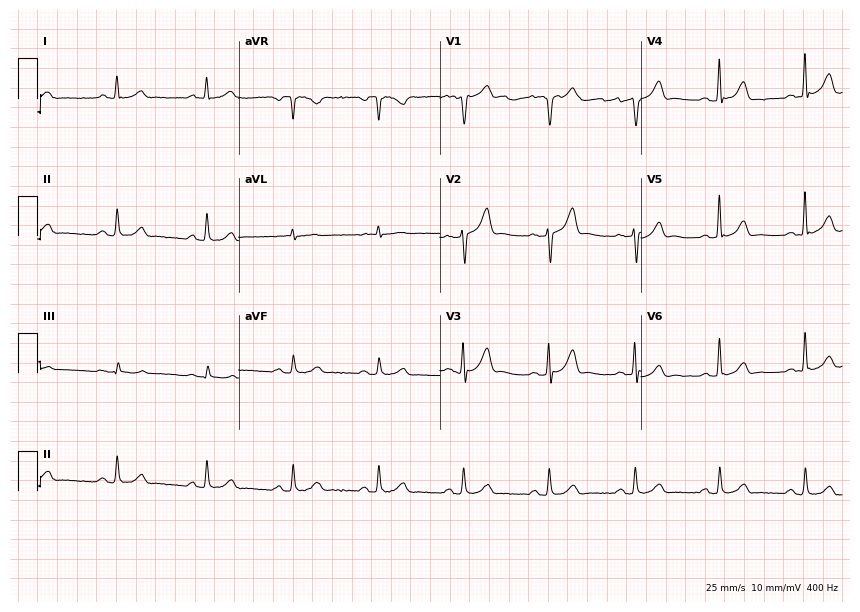
12-lead ECG (8.2-second recording at 400 Hz) from a 44-year-old male. Screened for six findings — first-degree AV block, right bundle branch block, left bundle branch block, sinus bradycardia, atrial fibrillation, sinus tachycardia — none is recorded.